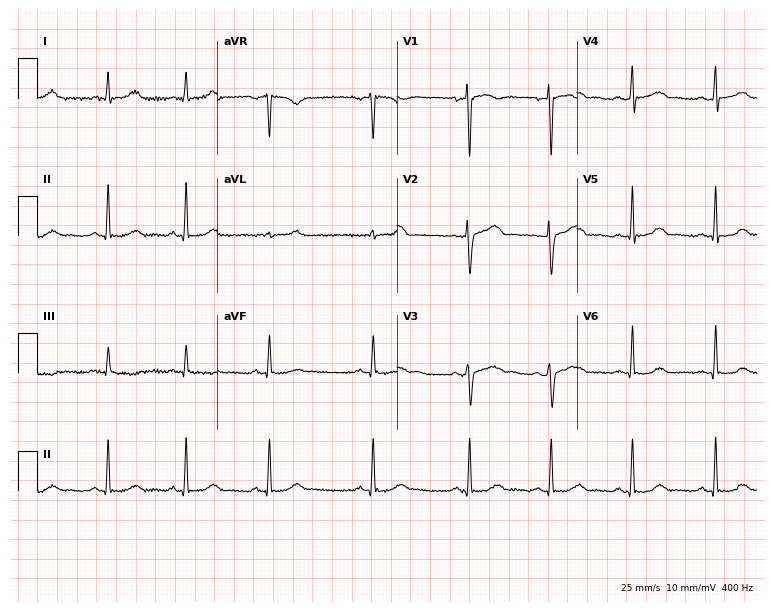
12-lead ECG from a woman, 19 years old. Recorded interpretation: within normal limits.